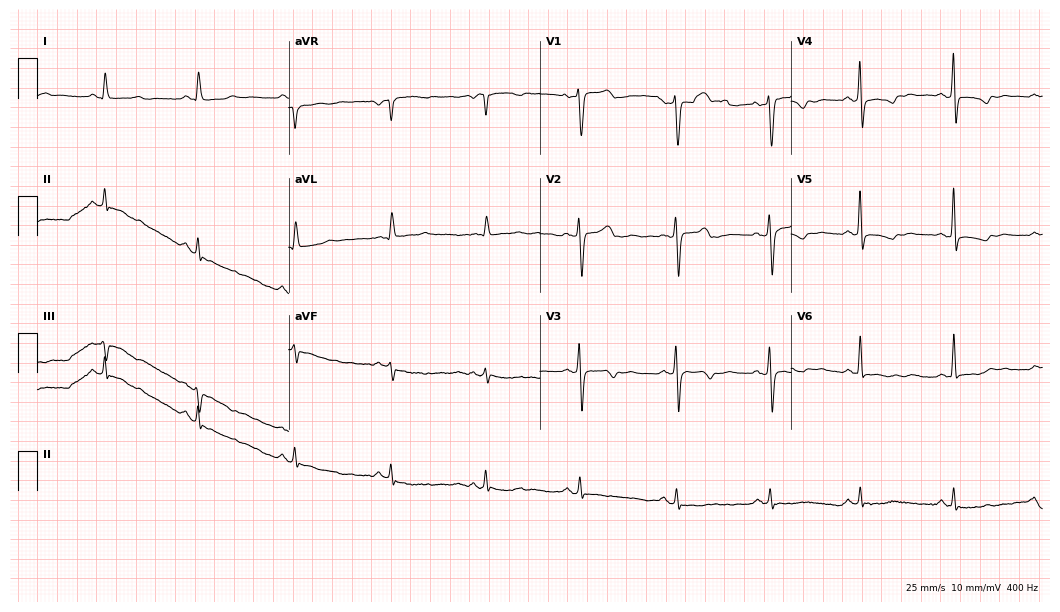
12-lead ECG from a female, 77 years old. Screened for six findings — first-degree AV block, right bundle branch block, left bundle branch block, sinus bradycardia, atrial fibrillation, sinus tachycardia — none is recorded. Other findings, if any, are not listed.